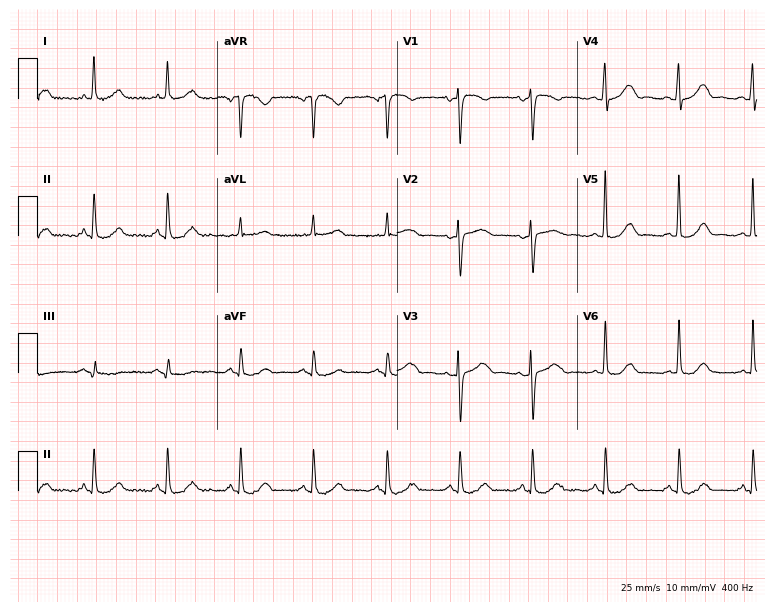
Resting 12-lead electrocardiogram. Patient: a woman, 60 years old. Read as a normal ECG.